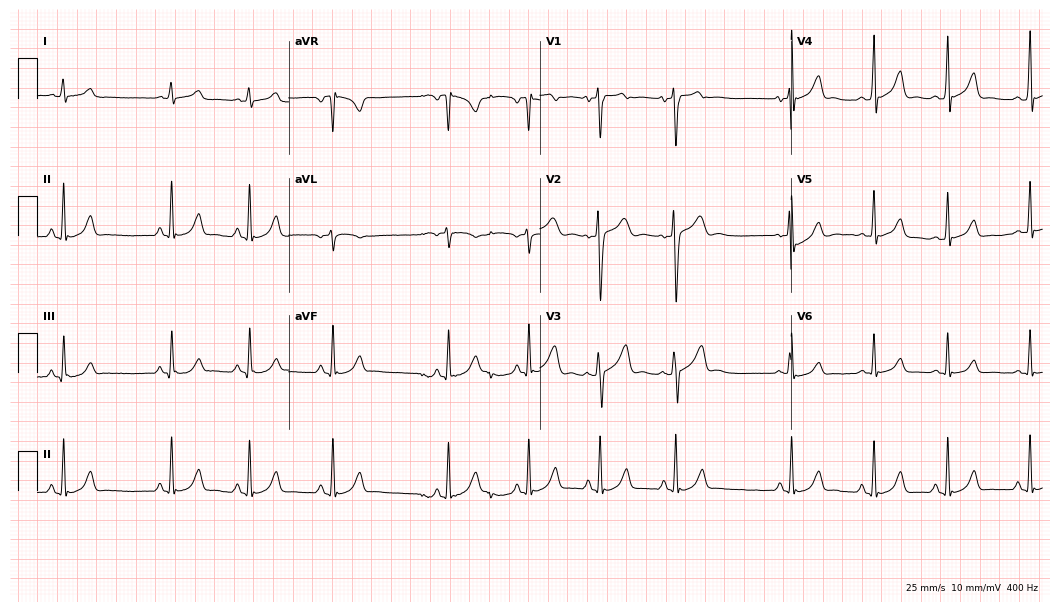
12-lead ECG from a 17-year-old man (10.2-second recording at 400 Hz). Recorded interpretation: within normal limits.